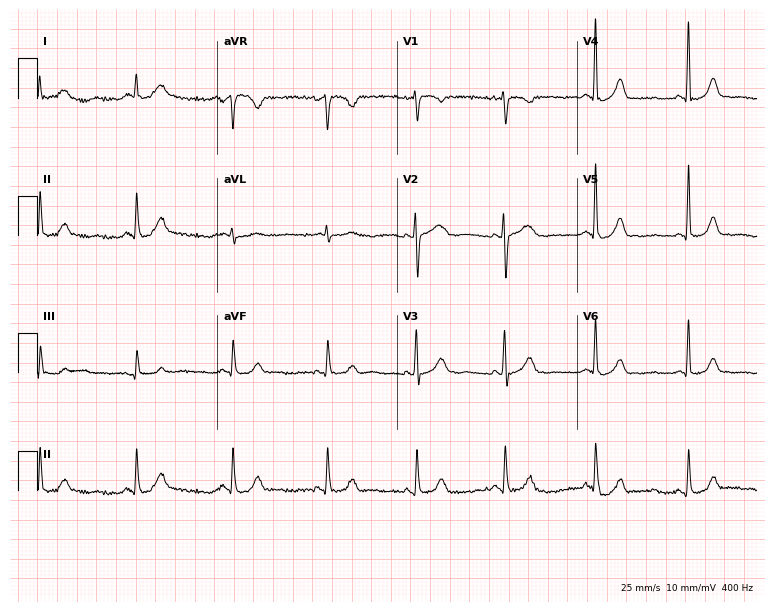
12-lead ECG from a female patient, 55 years old. Recorded interpretation: within normal limits.